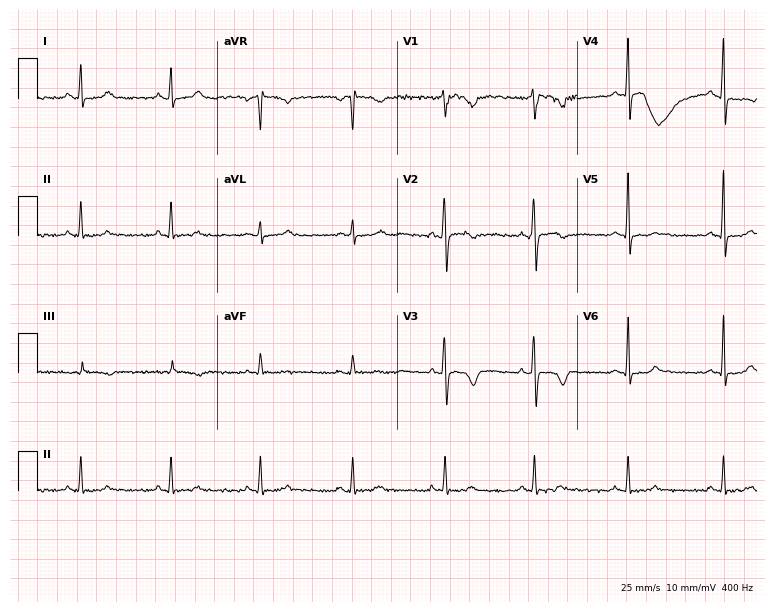
12-lead ECG from a female patient, 28 years old. Screened for six findings — first-degree AV block, right bundle branch block, left bundle branch block, sinus bradycardia, atrial fibrillation, sinus tachycardia — none is recorded.